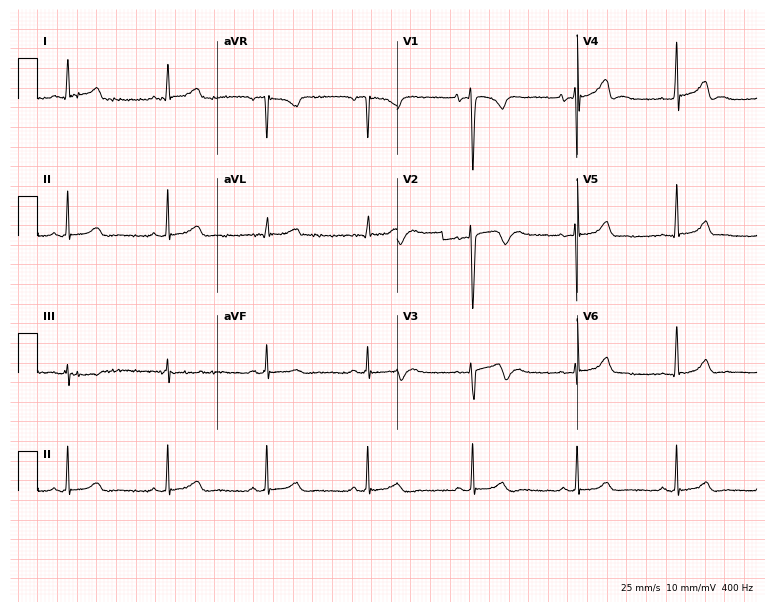
12-lead ECG from a male patient, 37 years old. Screened for six findings — first-degree AV block, right bundle branch block, left bundle branch block, sinus bradycardia, atrial fibrillation, sinus tachycardia — none is recorded. Other findings, if any, are not listed.